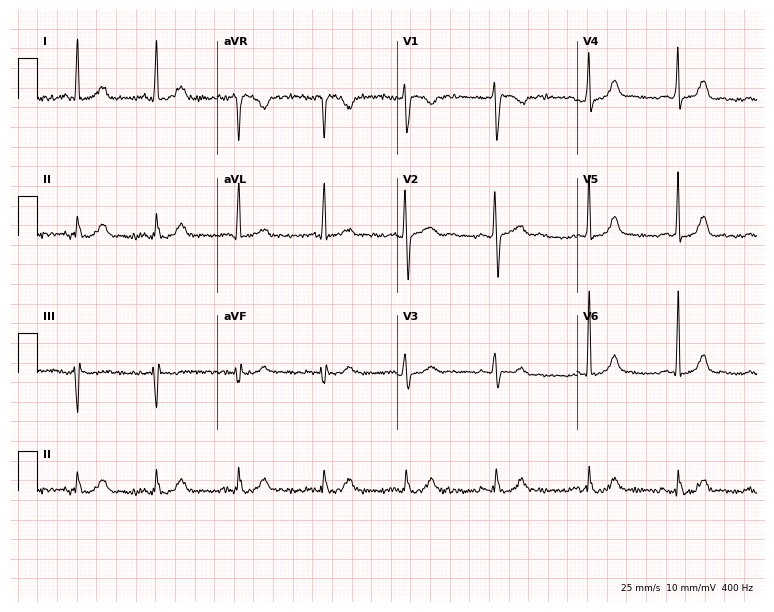
12-lead ECG (7.3-second recording at 400 Hz) from a woman, 39 years old. Screened for six findings — first-degree AV block, right bundle branch block, left bundle branch block, sinus bradycardia, atrial fibrillation, sinus tachycardia — none is recorded. Only these six findings were labelled.